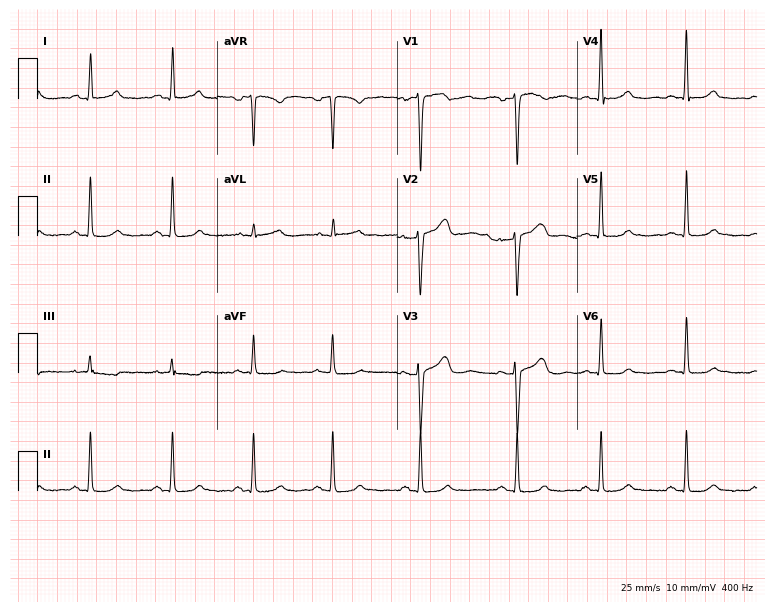
12-lead ECG from a female, 46 years old. No first-degree AV block, right bundle branch block, left bundle branch block, sinus bradycardia, atrial fibrillation or sinus tachycardia recorded for this tracing.